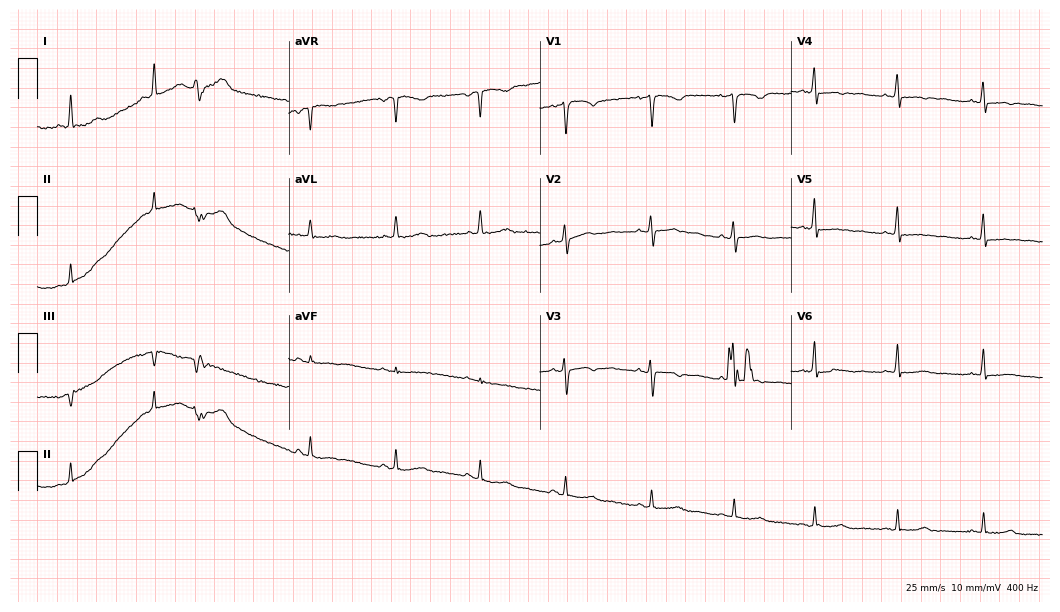
Electrocardiogram, a female, 46 years old. Of the six screened findings (first-degree AV block, right bundle branch block, left bundle branch block, sinus bradycardia, atrial fibrillation, sinus tachycardia), none is recorded.